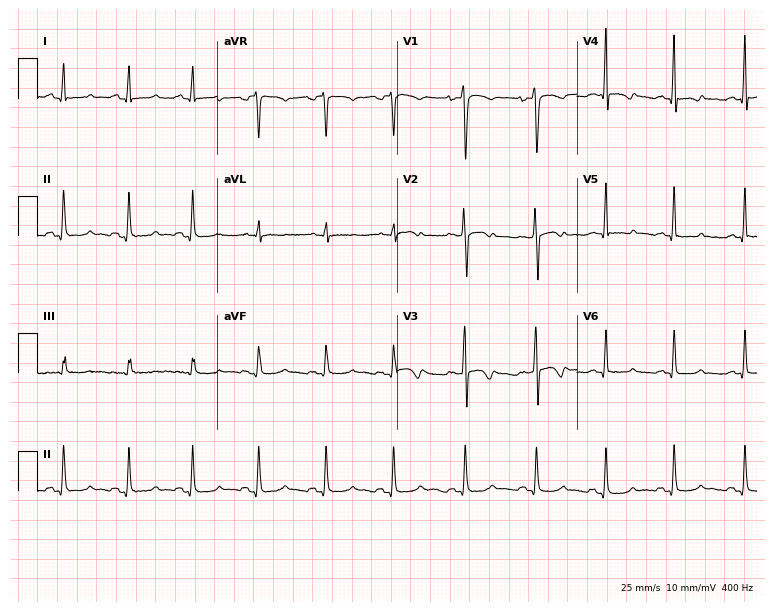
12-lead ECG from a 34-year-old female. No first-degree AV block, right bundle branch block, left bundle branch block, sinus bradycardia, atrial fibrillation or sinus tachycardia recorded for this tracing. Findings outside these six are not listed.